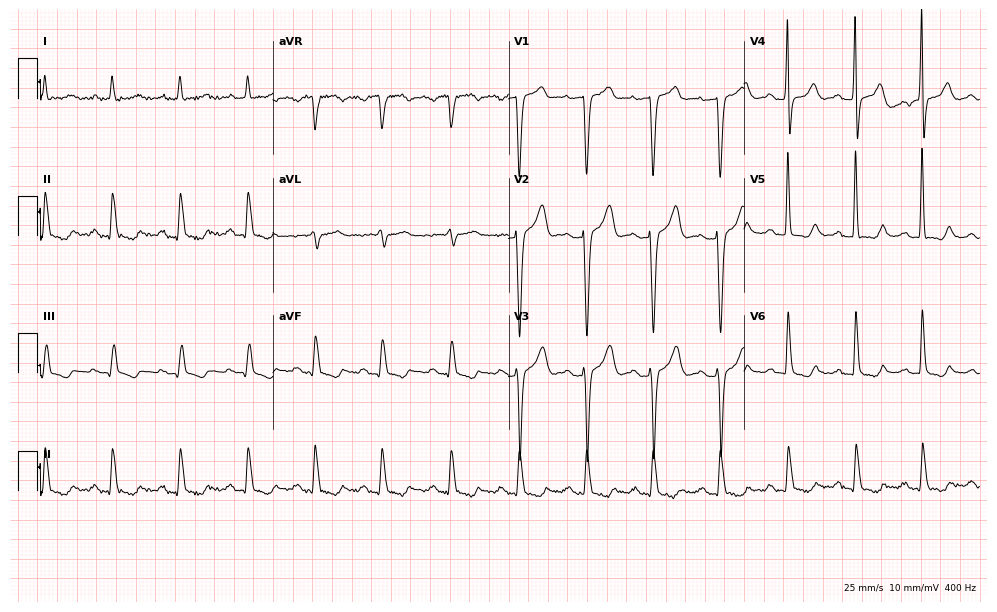
12-lead ECG from a woman, 71 years old. Screened for six findings — first-degree AV block, right bundle branch block (RBBB), left bundle branch block (LBBB), sinus bradycardia, atrial fibrillation (AF), sinus tachycardia — none is recorded. Findings outside these six are not listed.